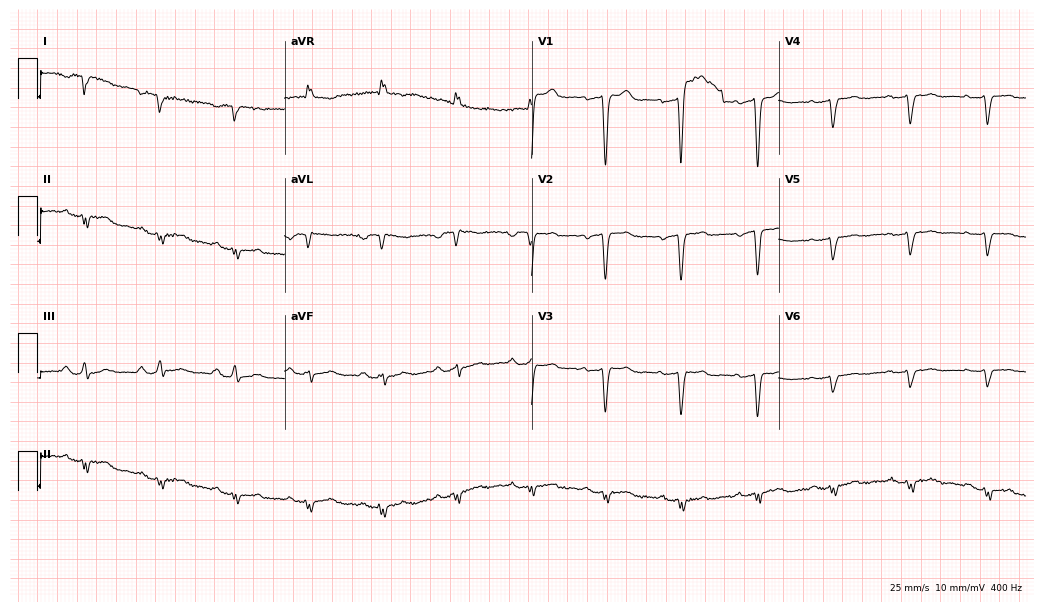
Standard 12-lead ECG recorded from a 40-year-old man (10.1-second recording at 400 Hz). None of these six findings is recorded: first-degree AV block, right bundle branch block (RBBB), left bundle branch block (LBBB), sinus bradycardia, atrial fibrillation (AF), sinus tachycardia.